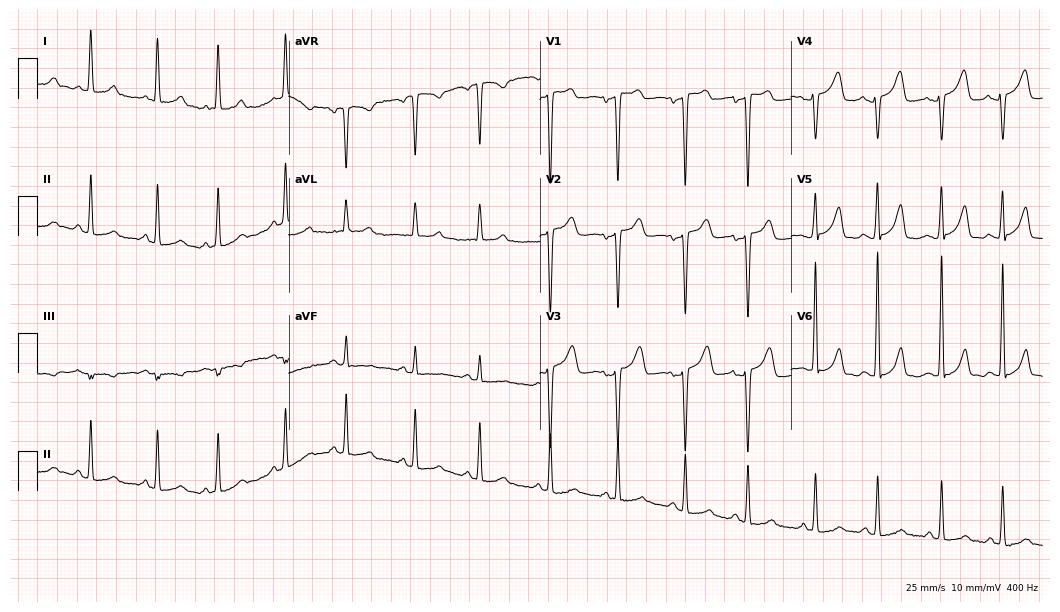
ECG — a woman, 49 years old. Screened for six findings — first-degree AV block, right bundle branch block, left bundle branch block, sinus bradycardia, atrial fibrillation, sinus tachycardia — none is recorded.